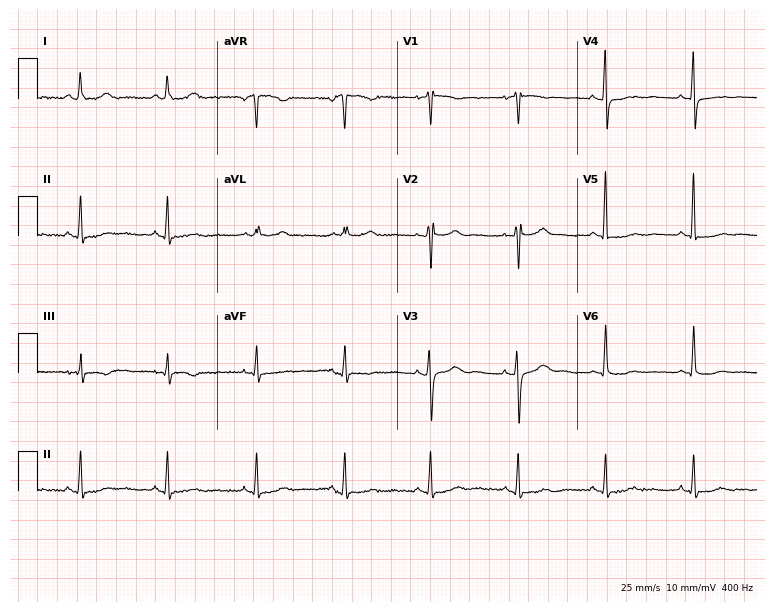
Electrocardiogram, a female, 66 years old. Of the six screened findings (first-degree AV block, right bundle branch block (RBBB), left bundle branch block (LBBB), sinus bradycardia, atrial fibrillation (AF), sinus tachycardia), none is recorded. Findings outside these six are not listed.